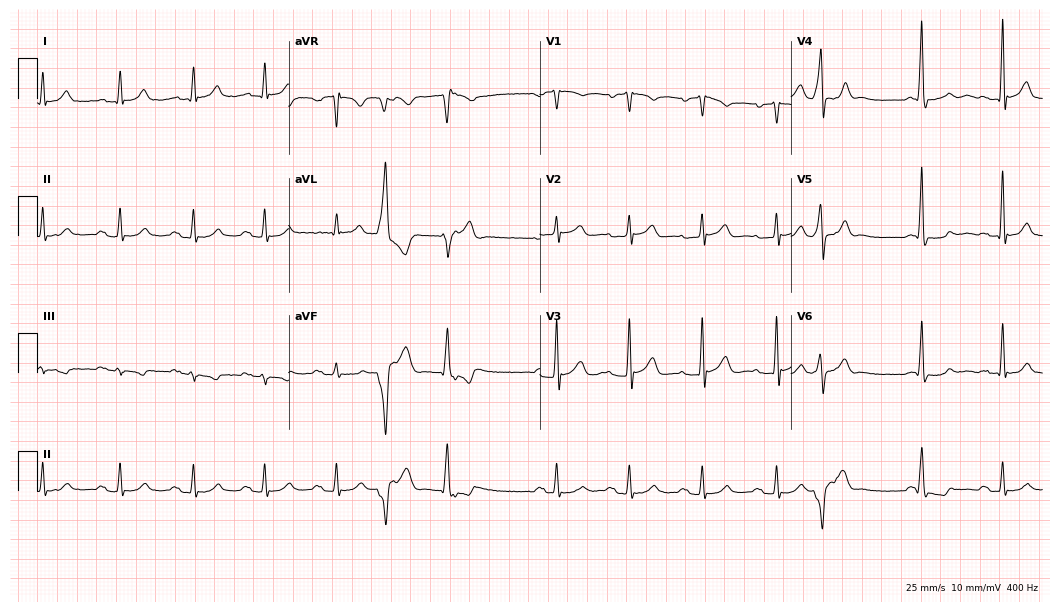
ECG — a 55-year-old male. Findings include first-degree AV block.